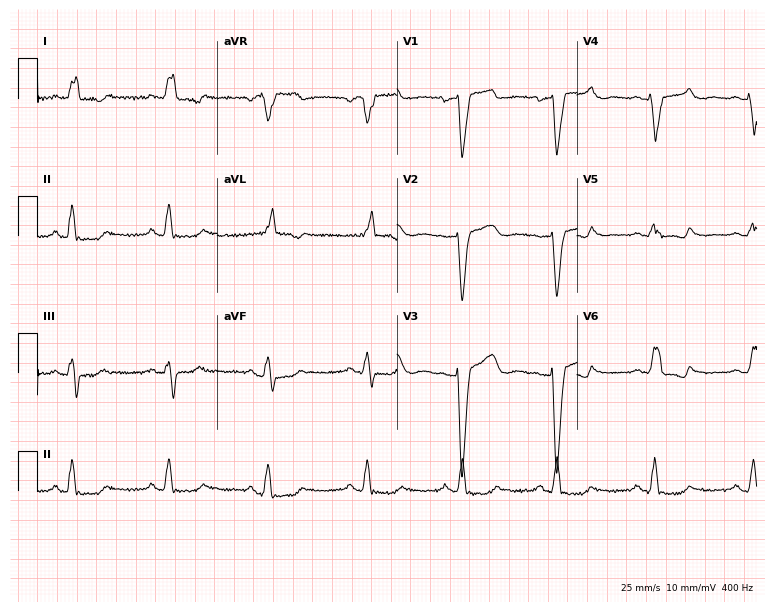
Resting 12-lead electrocardiogram (7.3-second recording at 400 Hz). Patient: a female, 67 years old. None of these six findings is recorded: first-degree AV block, right bundle branch block, left bundle branch block, sinus bradycardia, atrial fibrillation, sinus tachycardia. Other findings, if any, are not listed.